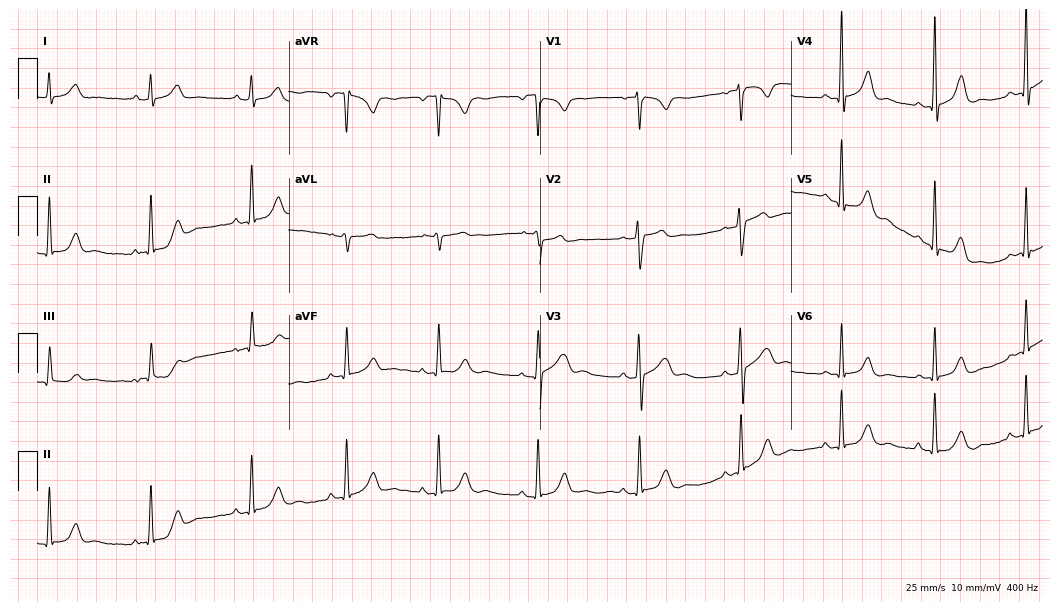
12-lead ECG (10.2-second recording at 400 Hz) from a 39-year-old female patient. Screened for six findings — first-degree AV block, right bundle branch block, left bundle branch block, sinus bradycardia, atrial fibrillation, sinus tachycardia — none is recorded.